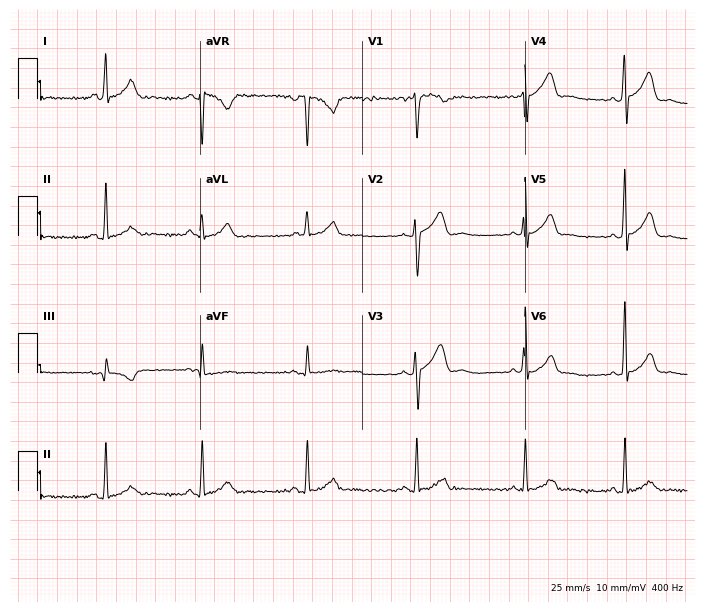
12-lead ECG from a female, 34 years old (6.6-second recording at 400 Hz). No first-degree AV block, right bundle branch block (RBBB), left bundle branch block (LBBB), sinus bradycardia, atrial fibrillation (AF) or sinus tachycardia recorded for this tracing.